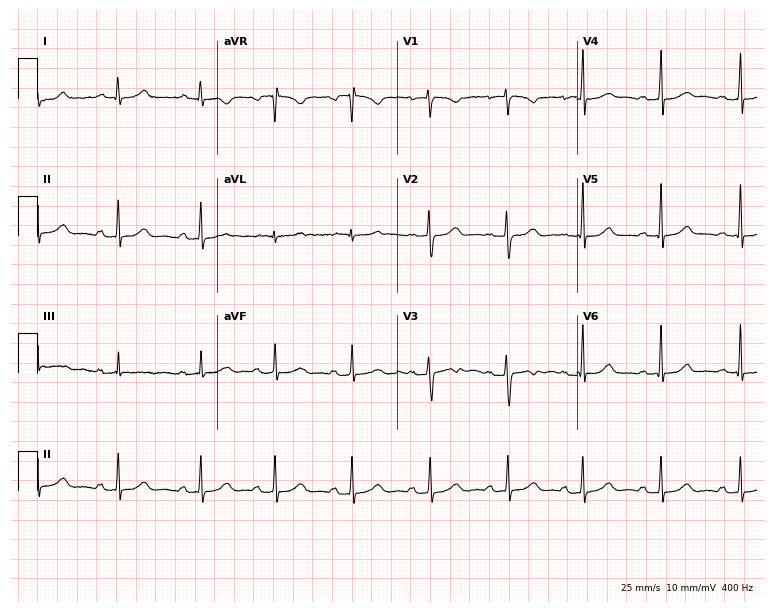
Standard 12-lead ECG recorded from an 18-year-old female (7.3-second recording at 400 Hz). Read as a normal ECG.